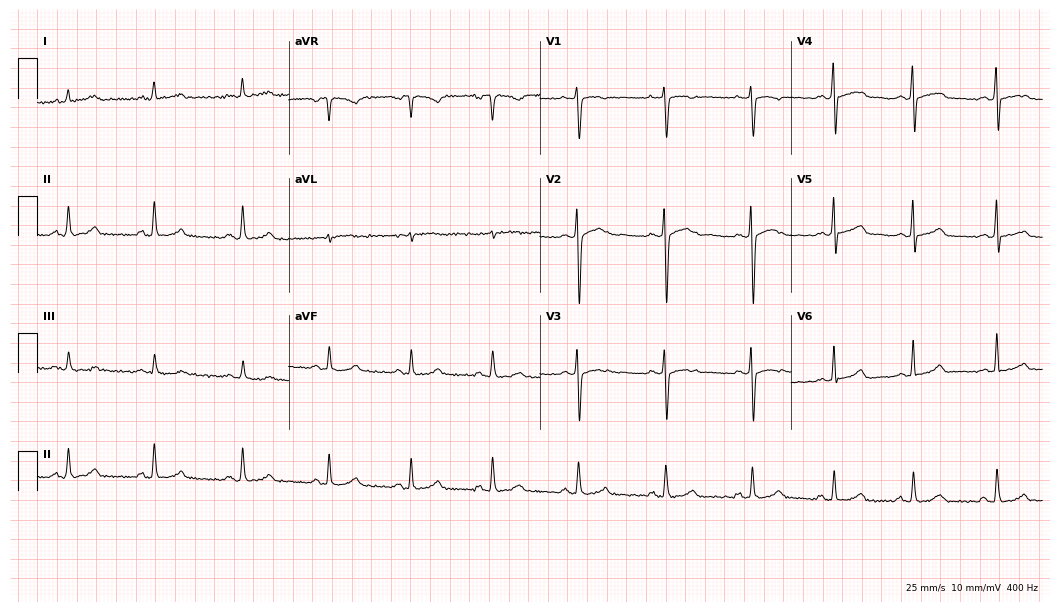
Standard 12-lead ECG recorded from a woman, 27 years old (10.2-second recording at 400 Hz). Read as a normal ECG.